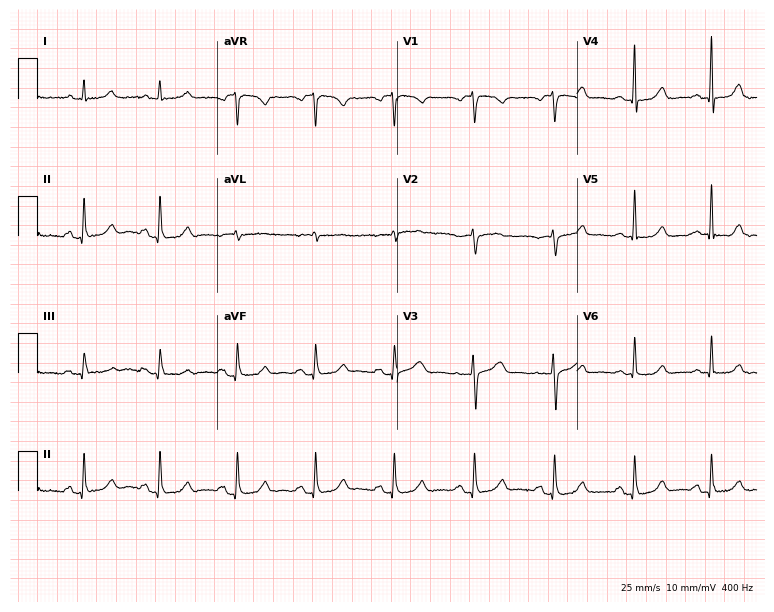
Standard 12-lead ECG recorded from a female, 60 years old (7.3-second recording at 400 Hz). None of these six findings is recorded: first-degree AV block, right bundle branch block, left bundle branch block, sinus bradycardia, atrial fibrillation, sinus tachycardia.